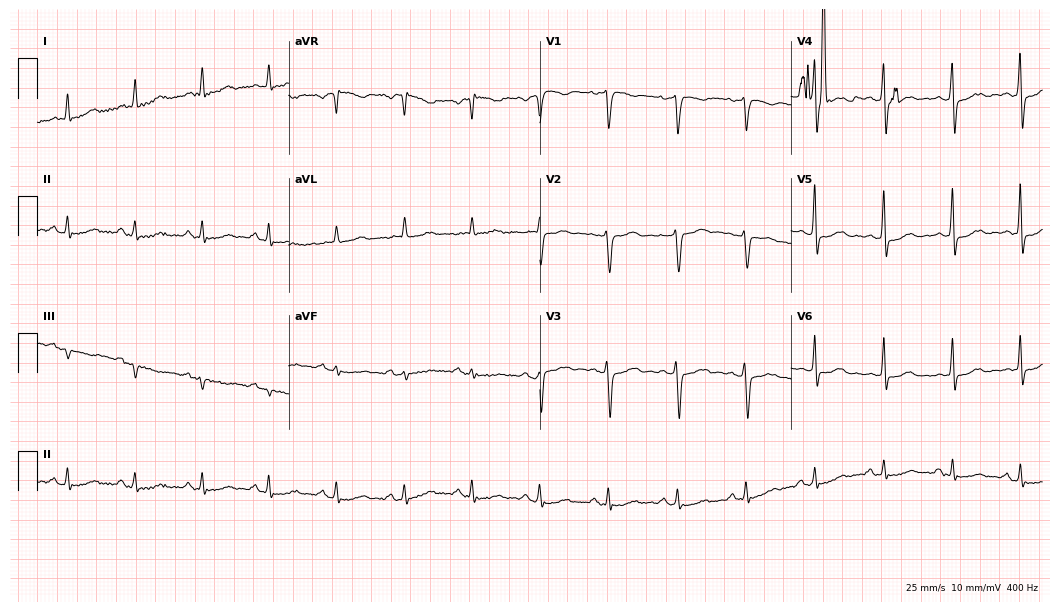
Standard 12-lead ECG recorded from a 64-year-old female patient. None of these six findings is recorded: first-degree AV block, right bundle branch block (RBBB), left bundle branch block (LBBB), sinus bradycardia, atrial fibrillation (AF), sinus tachycardia.